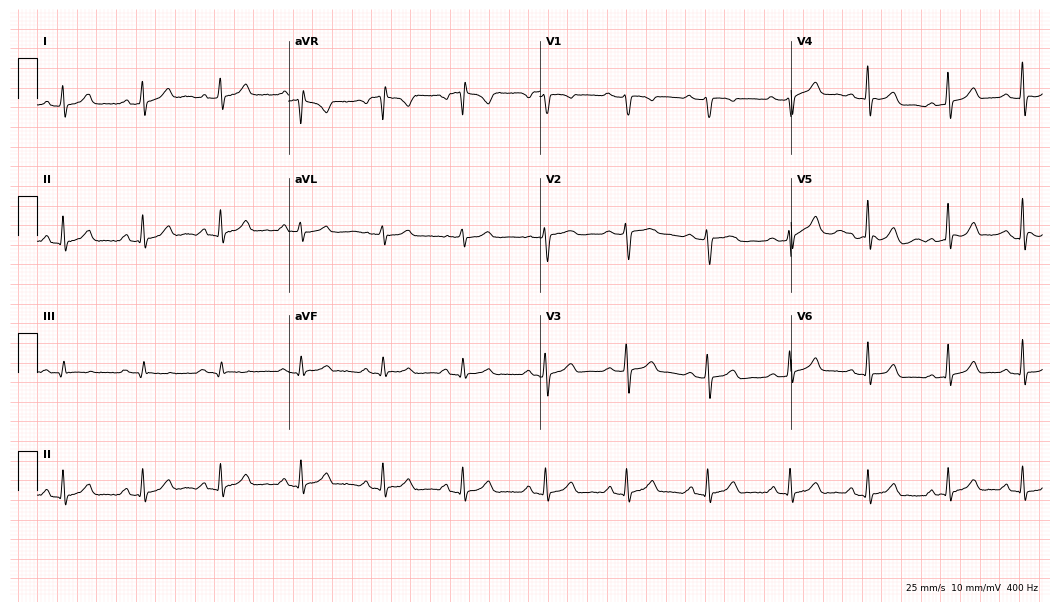
Electrocardiogram, a 19-year-old female patient. Overall reading on record: normal ECG.